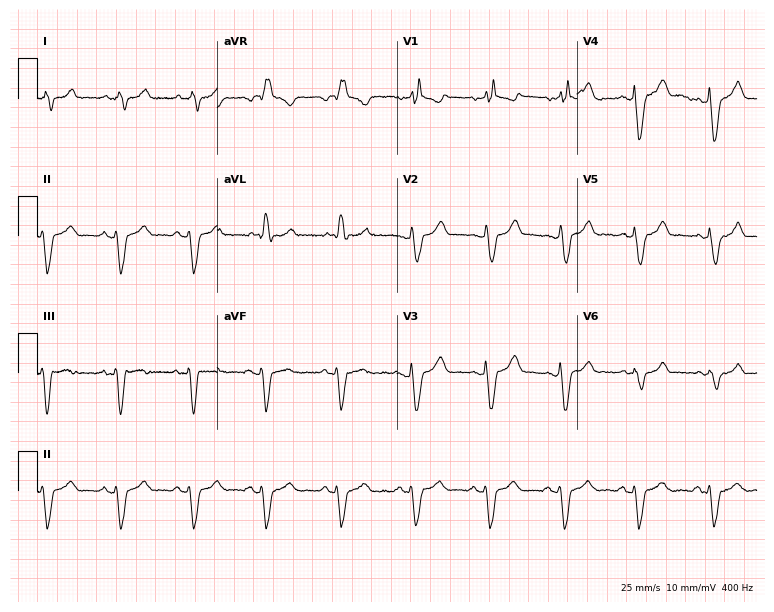
12-lead ECG from a 77-year-old man. Findings include right bundle branch block, left bundle branch block.